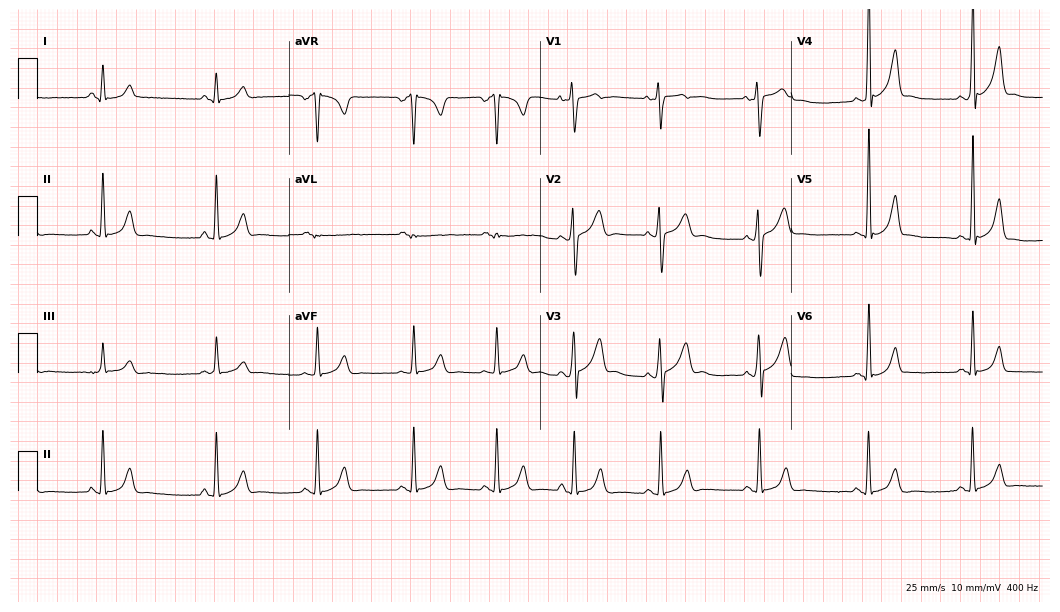
Standard 12-lead ECG recorded from a man, 19 years old. Read as a normal ECG.